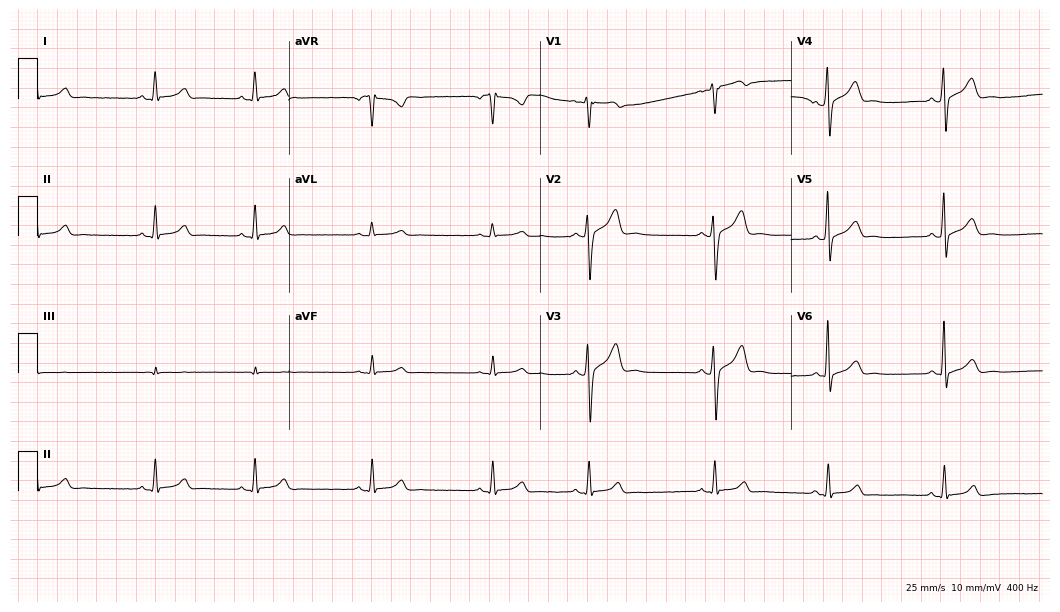
12-lead ECG from a 23-year-old male patient (10.2-second recording at 400 Hz). No first-degree AV block, right bundle branch block, left bundle branch block, sinus bradycardia, atrial fibrillation or sinus tachycardia recorded for this tracing.